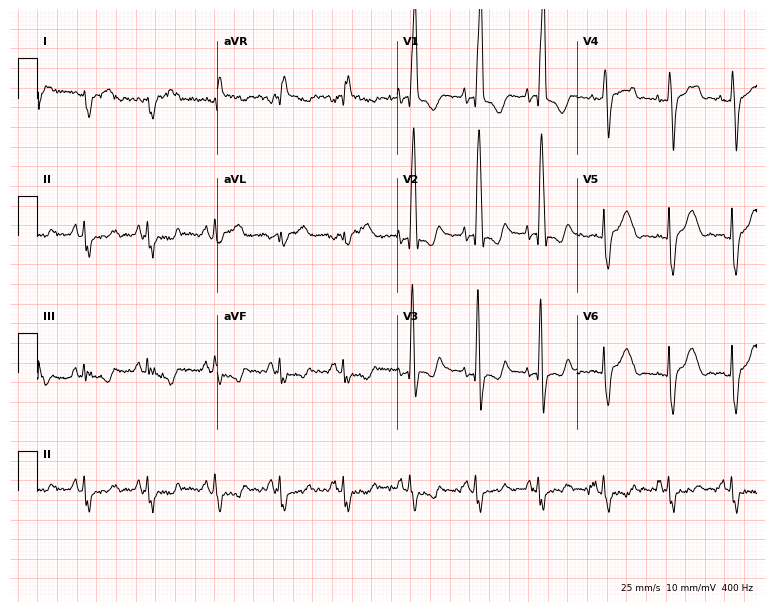
Electrocardiogram, a 77-year-old male patient. Interpretation includes right bundle branch block (RBBB).